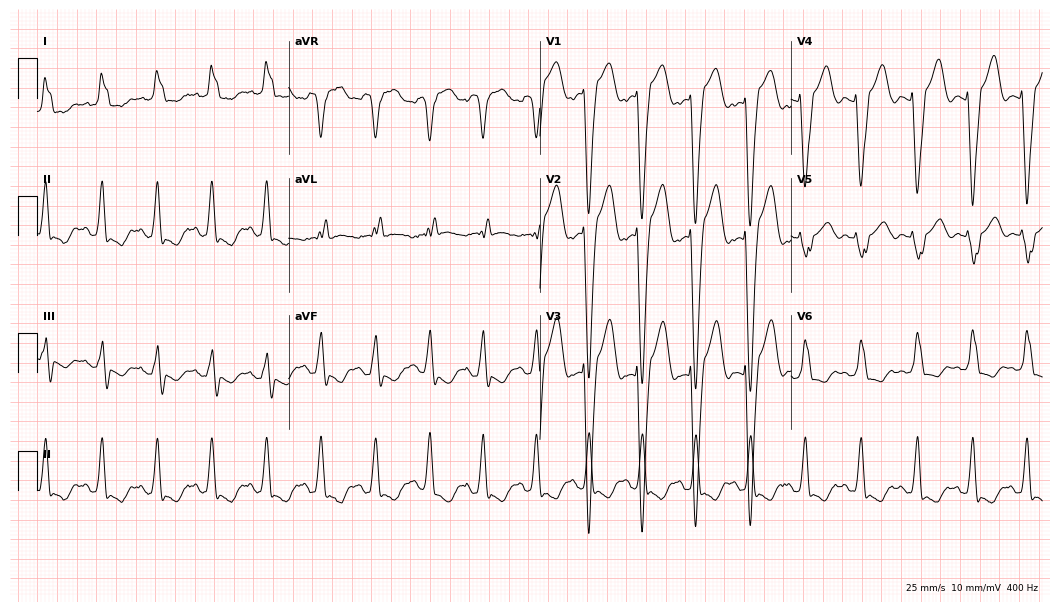
12-lead ECG from a female, 59 years old (10.2-second recording at 400 Hz). Shows left bundle branch block (LBBB), sinus tachycardia (a sinus rate of 100 beats per minute or more).